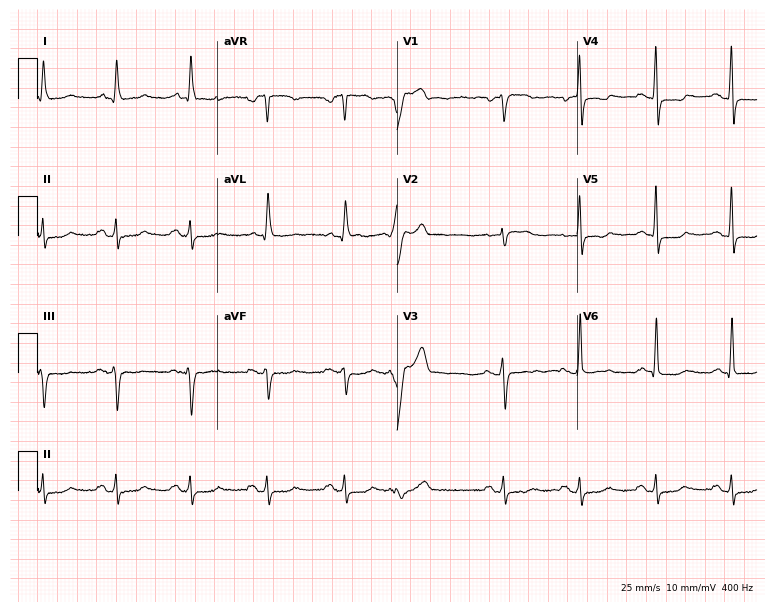
12-lead ECG (7.3-second recording at 400 Hz) from a 68-year-old female patient. Screened for six findings — first-degree AV block, right bundle branch block, left bundle branch block, sinus bradycardia, atrial fibrillation, sinus tachycardia — none is recorded.